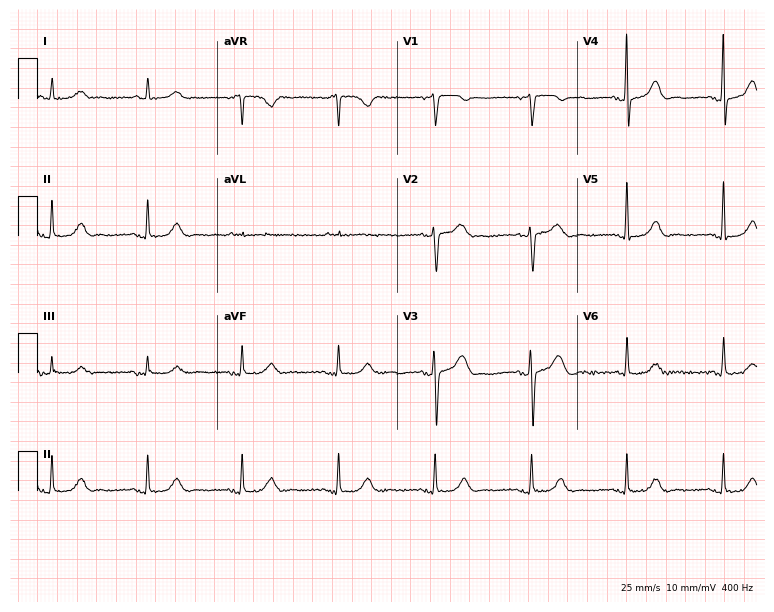
12-lead ECG from a 58-year-old female (7.3-second recording at 400 Hz). Recorded interpretation: within normal limits.